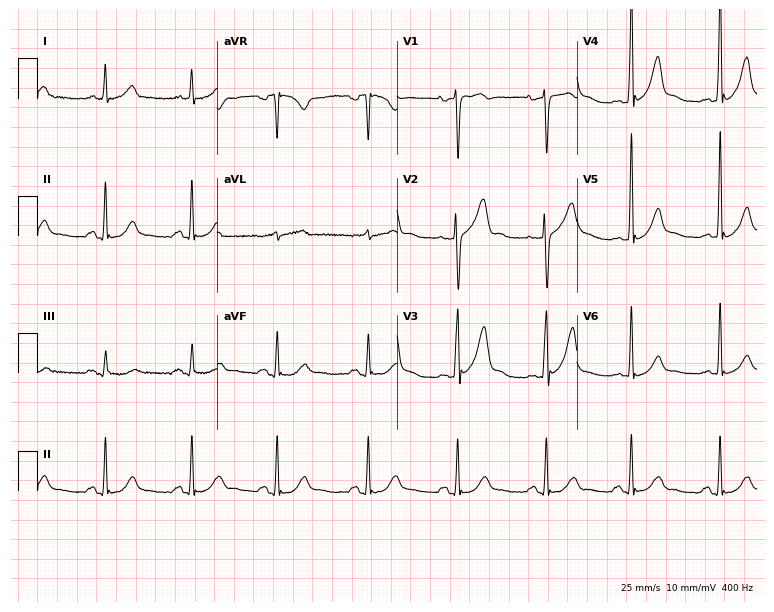
ECG (7.3-second recording at 400 Hz) — a 55-year-old man. Screened for six findings — first-degree AV block, right bundle branch block, left bundle branch block, sinus bradycardia, atrial fibrillation, sinus tachycardia — none is recorded. Findings outside these six are not listed.